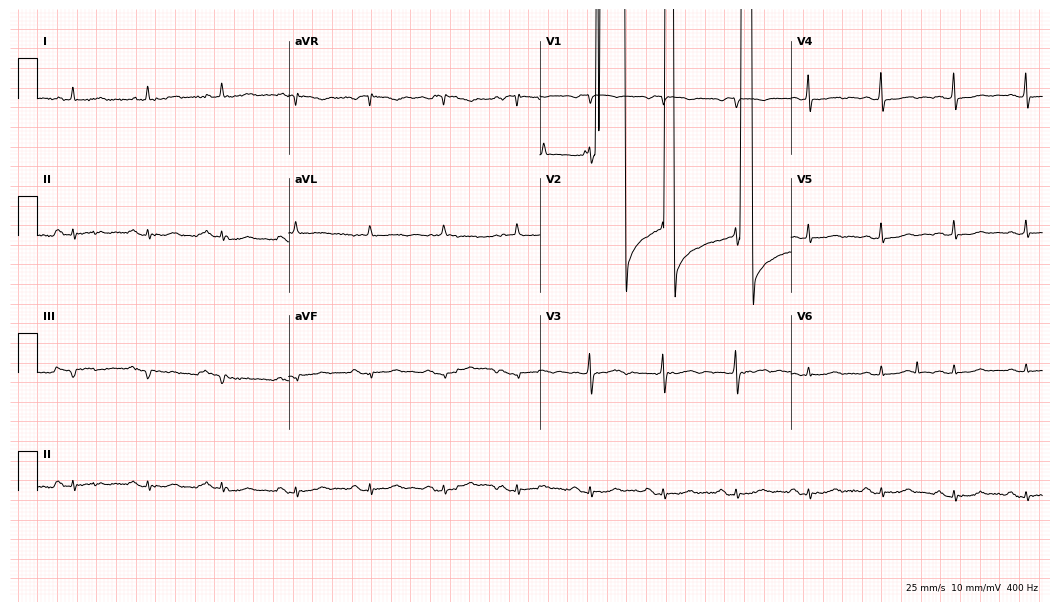
Resting 12-lead electrocardiogram (10.2-second recording at 400 Hz). Patient: a female, 74 years old. None of these six findings is recorded: first-degree AV block, right bundle branch block, left bundle branch block, sinus bradycardia, atrial fibrillation, sinus tachycardia.